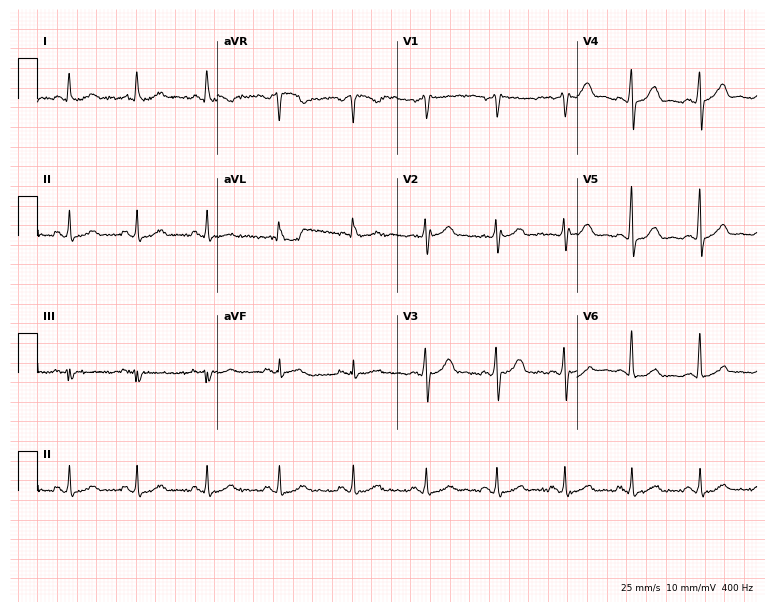
12-lead ECG from a 48-year-old male patient (7.3-second recording at 400 Hz). Recorded interpretation: within normal limits.